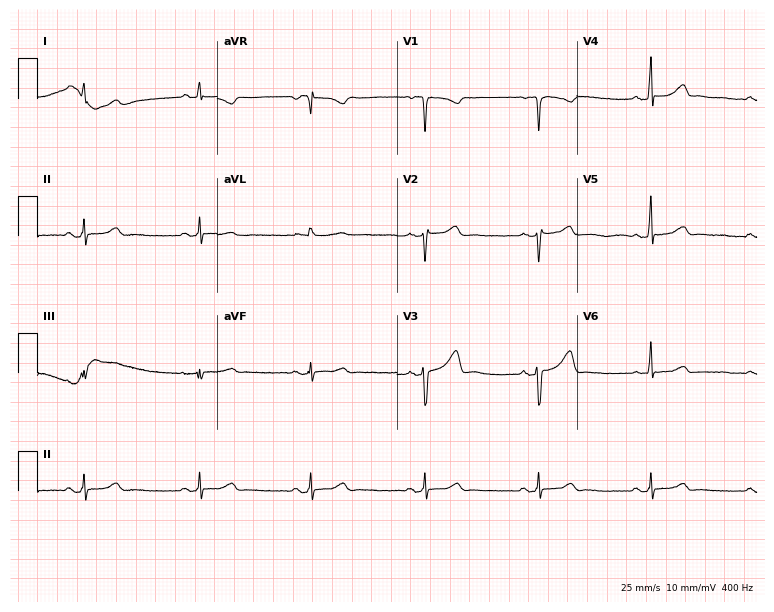
12-lead ECG (7.3-second recording at 400 Hz) from a 23-year-old female patient. Screened for six findings — first-degree AV block, right bundle branch block, left bundle branch block, sinus bradycardia, atrial fibrillation, sinus tachycardia — none is recorded. Only these six findings were labelled.